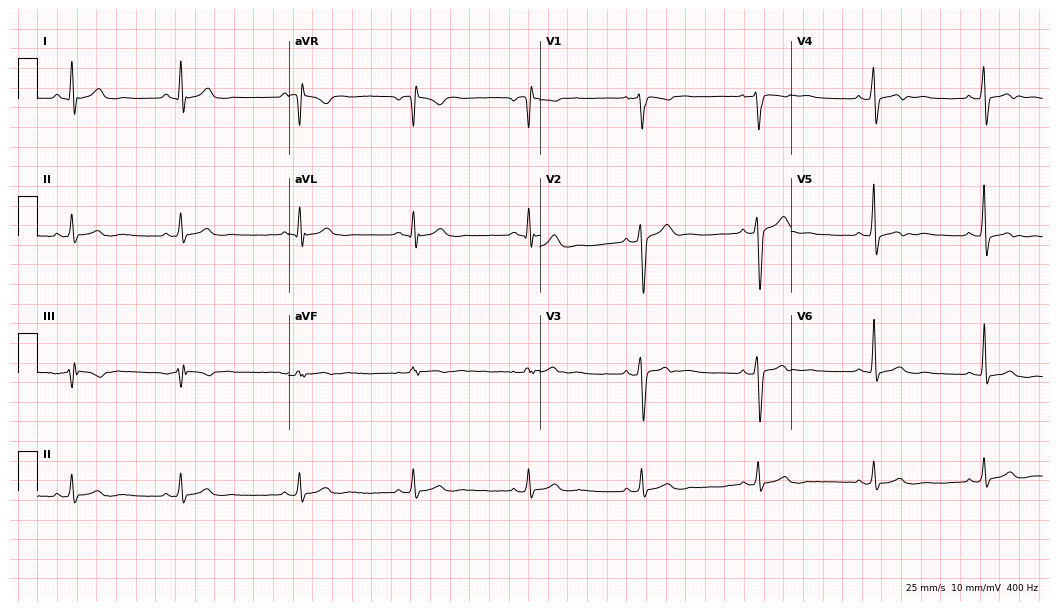
Standard 12-lead ECG recorded from a 32-year-old male patient. None of these six findings is recorded: first-degree AV block, right bundle branch block (RBBB), left bundle branch block (LBBB), sinus bradycardia, atrial fibrillation (AF), sinus tachycardia. Other findings, if any, are not listed.